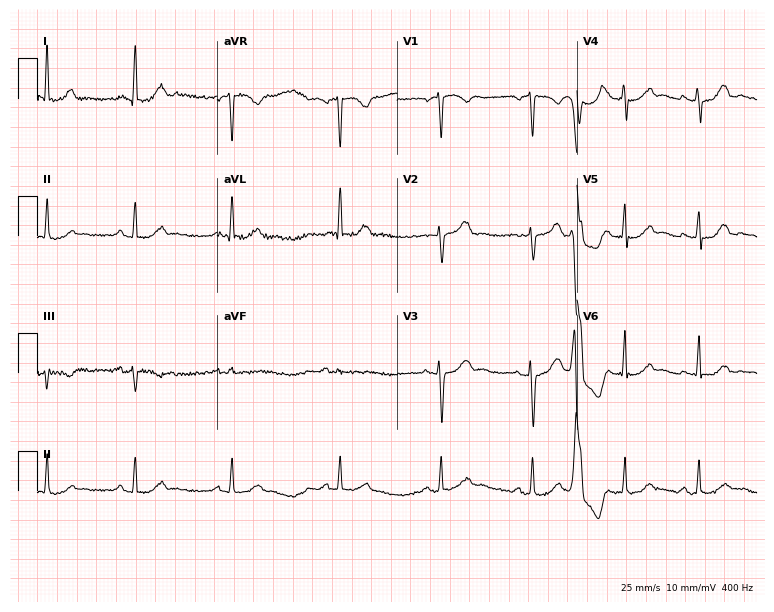
ECG (7.3-second recording at 400 Hz) — a 70-year-old woman. Screened for six findings — first-degree AV block, right bundle branch block, left bundle branch block, sinus bradycardia, atrial fibrillation, sinus tachycardia — none is recorded. Other findings, if any, are not listed.